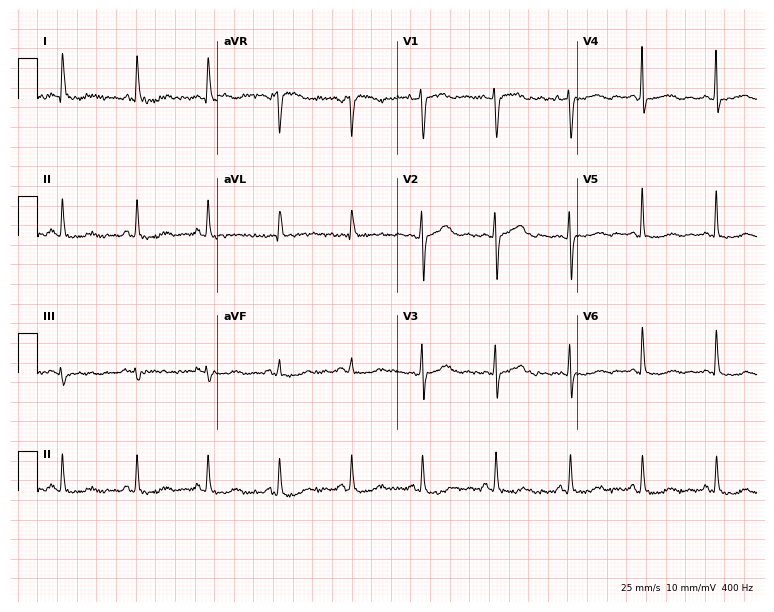
12-lead ECG from a woman, 62 years old. No first-degree AV block, right bundle branch block (RBBB), left bundle branch block (LBBB), sinus bradycardia, atrial fibrillation (AF) or sinus tachycardia recorded for this tracing.